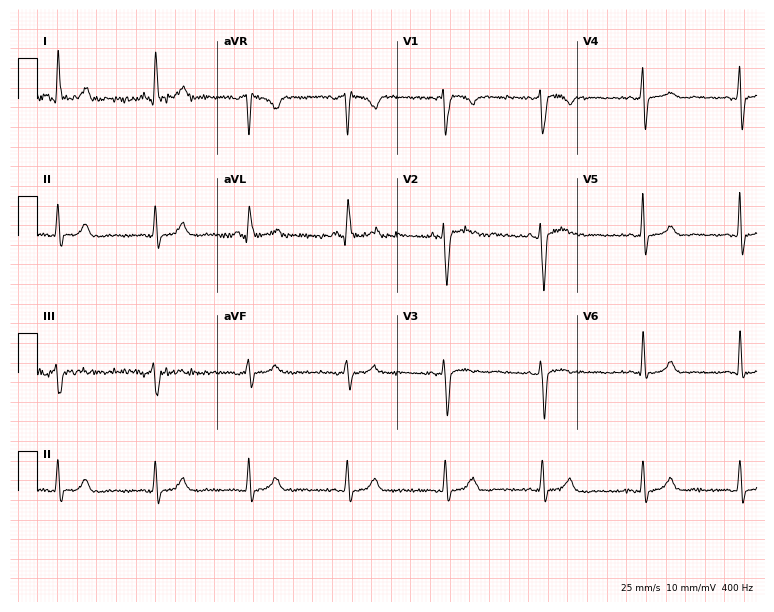
12-lead ECG (7.3-second recording at 400 Hz) from a 50-year-old female. Labelled as a normal ECG.